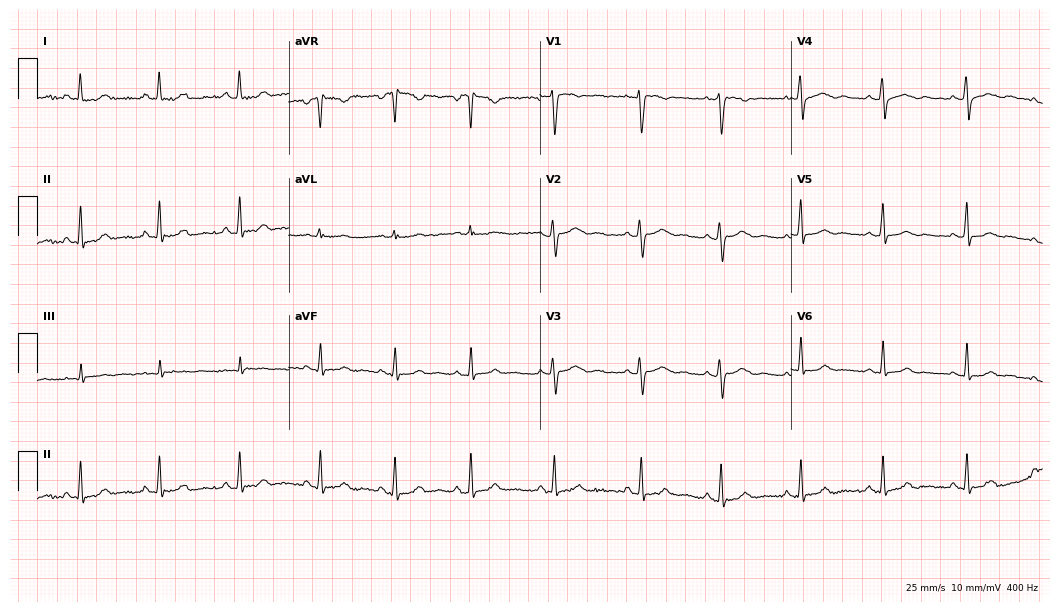
Standard 12-lead ECG recorded from an 18-year-old female (10.2-second recording at 400 Hz). Read as a normal ECG.